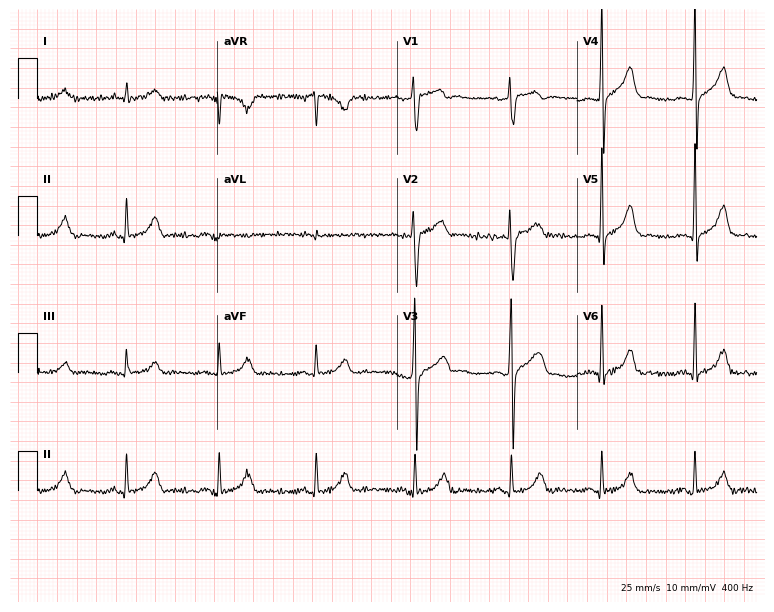
Standard 12-lead ECG recorded from a 38-year-old male patient. None of these six findings is recorded: first-degree AV block, right bundle branch block, left bundle branch block, sinus bradycardia, atrial fibrillation, sinus tachycardia.